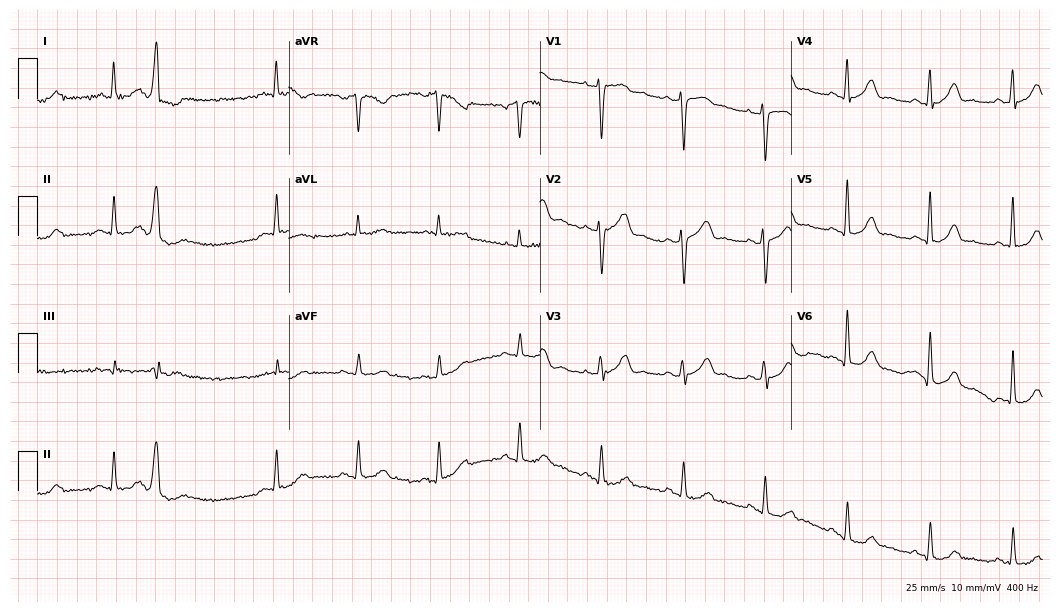
Resting 12-lead electrocardiogram. Patient: a 75-year-old man. Read as a normal ECG.